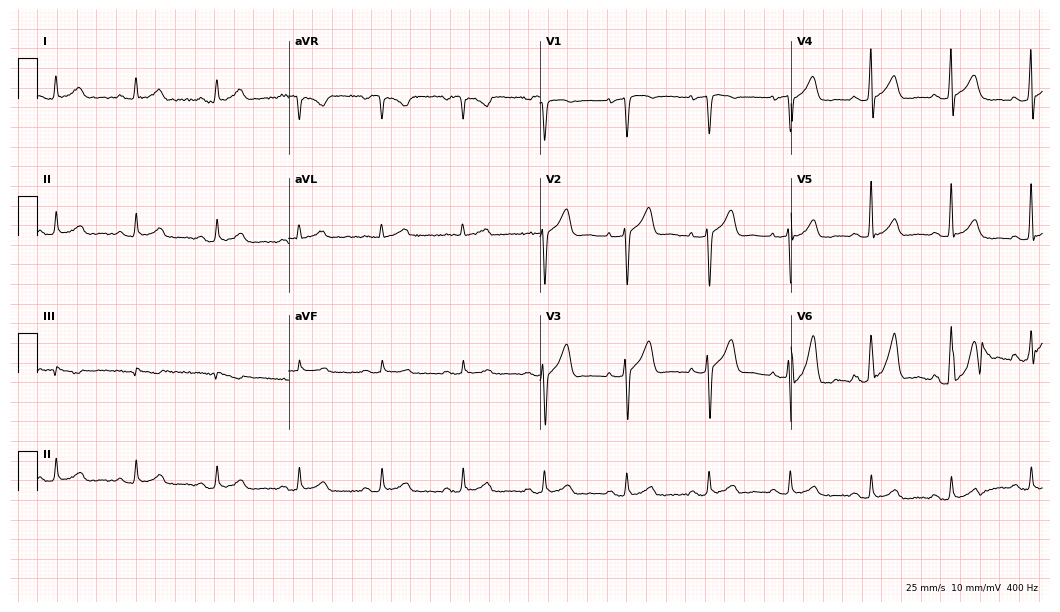
ECG — a 59-year-old man. Labelled as a normal ECG.